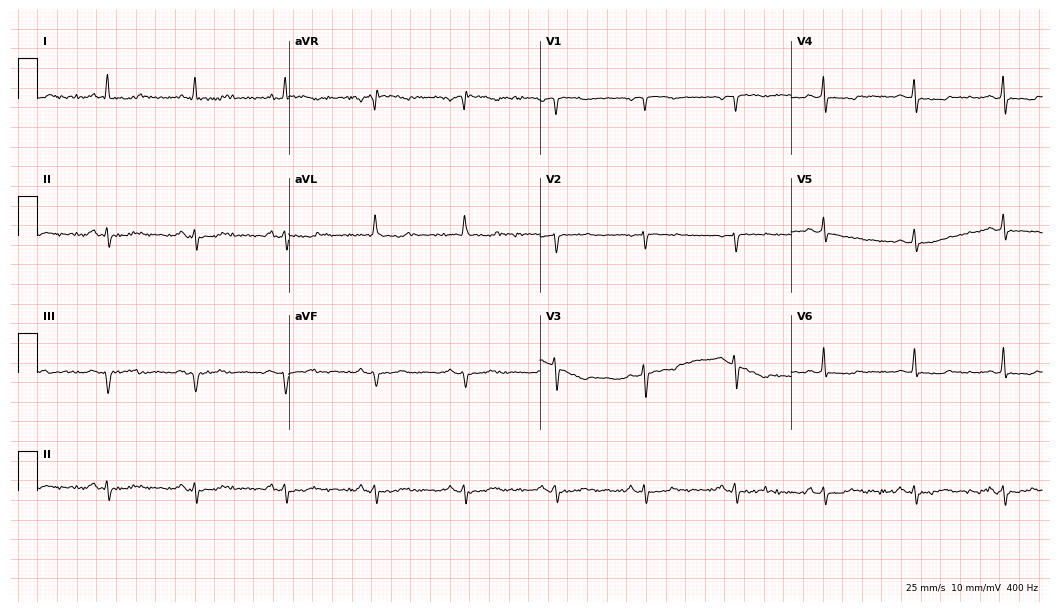
ECG — a 63-year-old woman. Screened for six findings — first-degree AV block, right bundle branch block (RBBB), left bundle branch block (LBBB), sinus bradycardia, atrial fibrillation (AF), sinus tachycardia — none is recorded. Only these six findings were labelled.